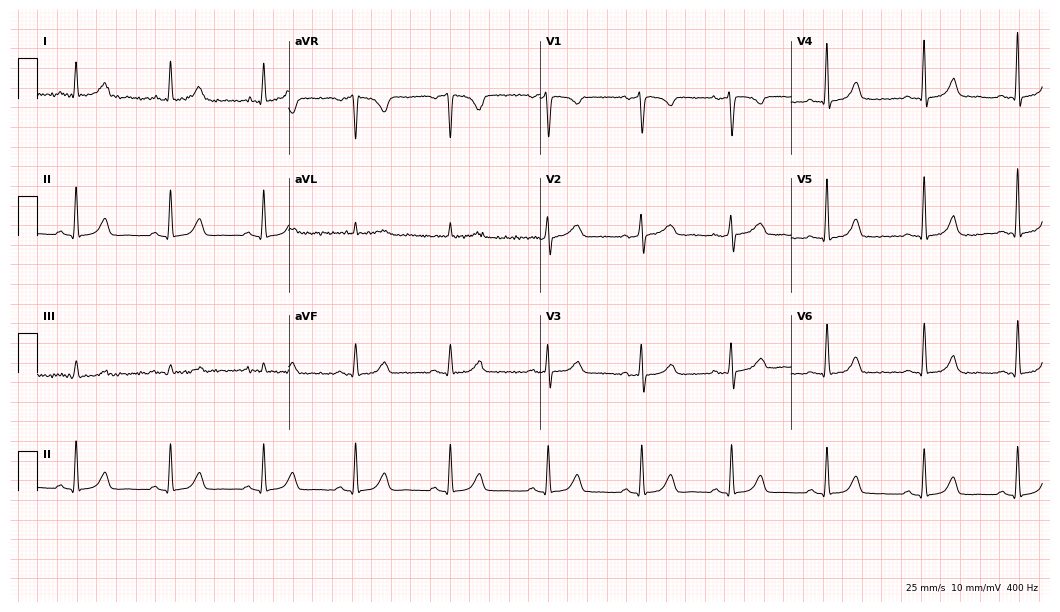
Electrocardiogram (10.2-second recording at 400 Hz), a woman, 57 years old. Overall reading on record: normal ECG.